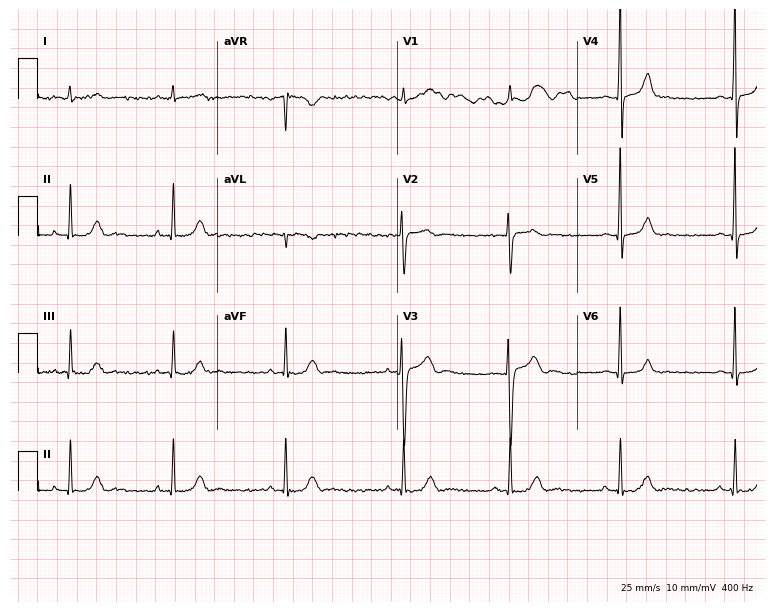
12-lead ECG (7.3-second recording at 400 Hz) from a male patient, 25 years old. Labelled as a normal ECG.